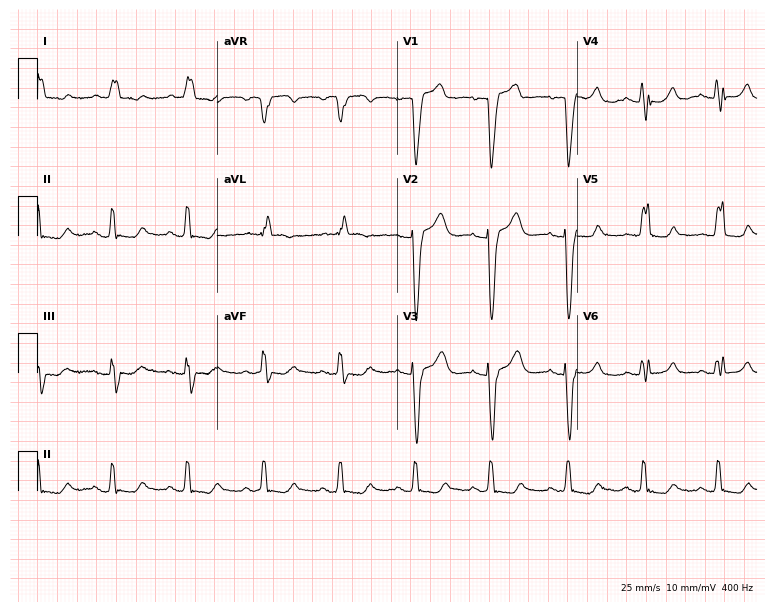
Standard 12-lead ECG recorded from a female patient, 58 years old. The tracing shows left bundle branch block (LBBB).